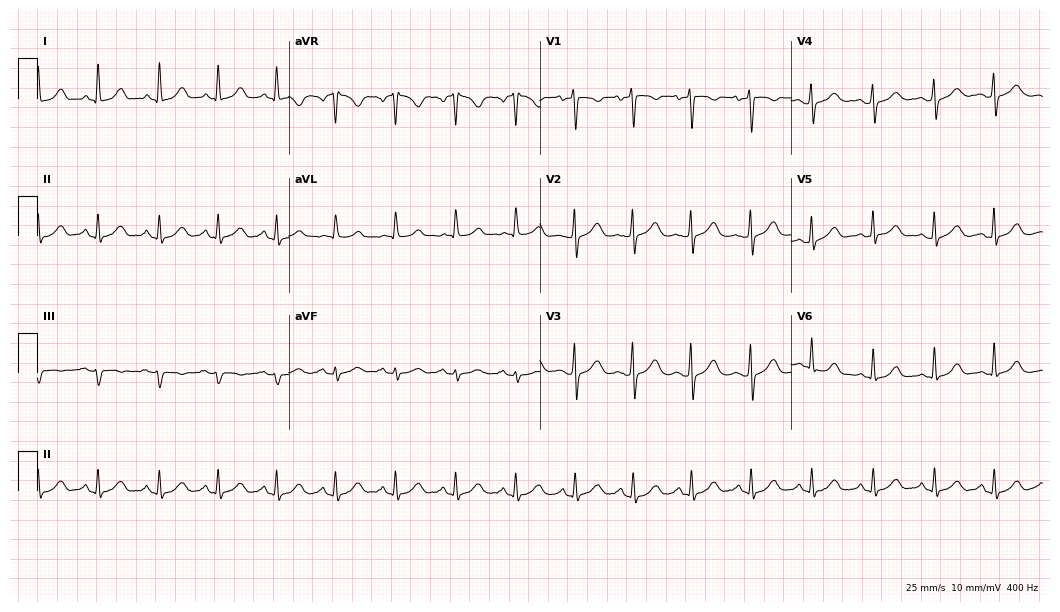
Electrocardiogram (10.2-second recording at 400 Hz), a female patient, 49 years old. Overall reading on record: normal ECG.